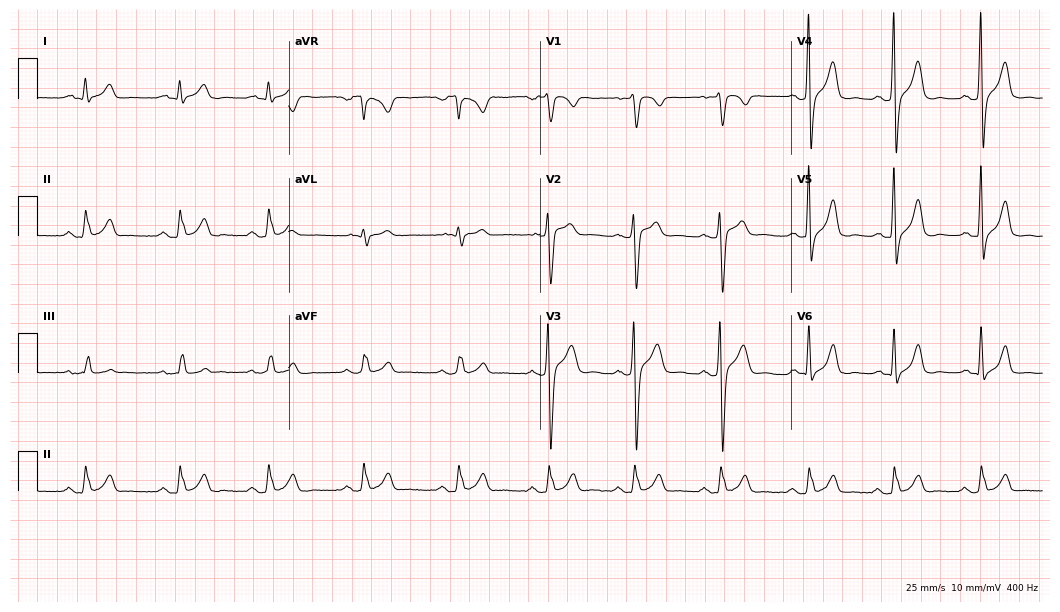
12-lead ECG from a male patient, 27 years old (10.2-second recording at 400 Hz). No first-degree AV block, right bundle branch block, left bundle branch block, sinus bradycardia, atrial fibrillation or sinus tachycardia recorded for this tracing.